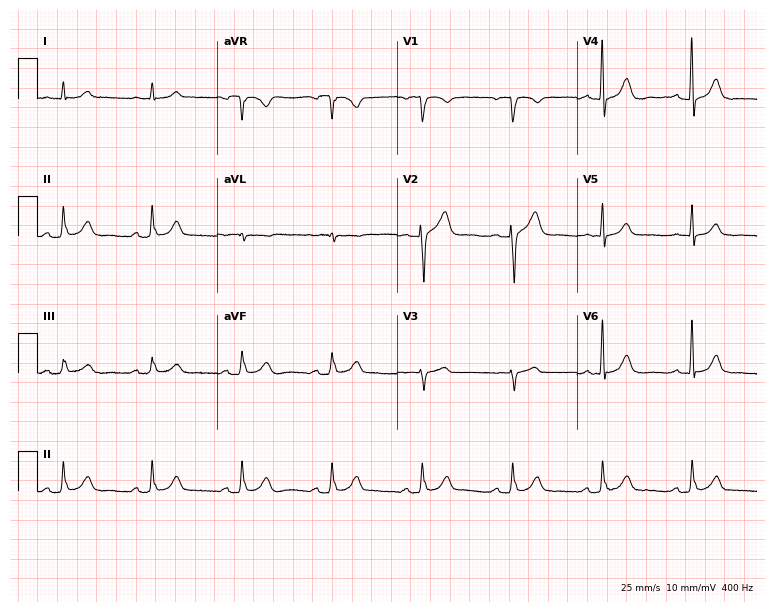
ECG (7.3-second recording at 400 Hz) — a 74-year-old male patient. Labelled as a normal ECG.